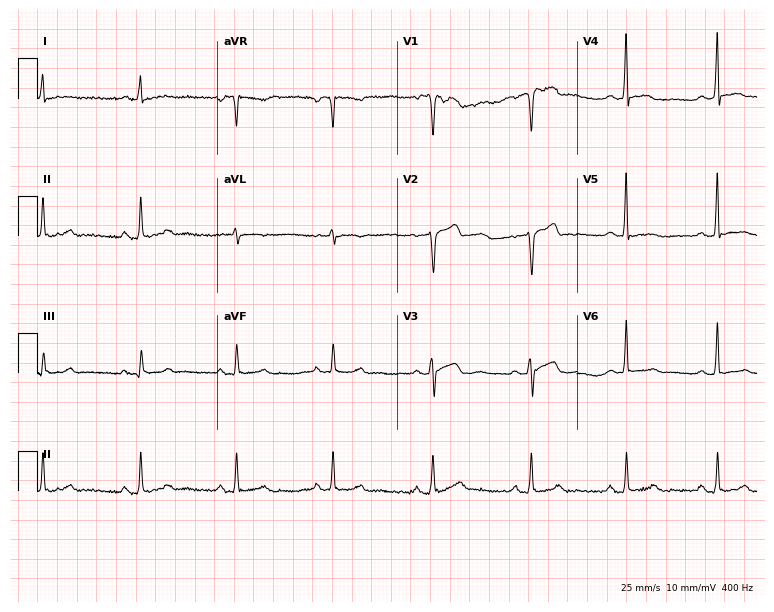
Resting 12-lead electrocardiogram (7.3-second recording at 400 Hz). Patient: a 39-year-old male. None of these six findings is recorded: first-degree AV block, right bundle branch block, left bundle branch block, sinus bradycardia, atrial fibrillation, sinus tachycardia.